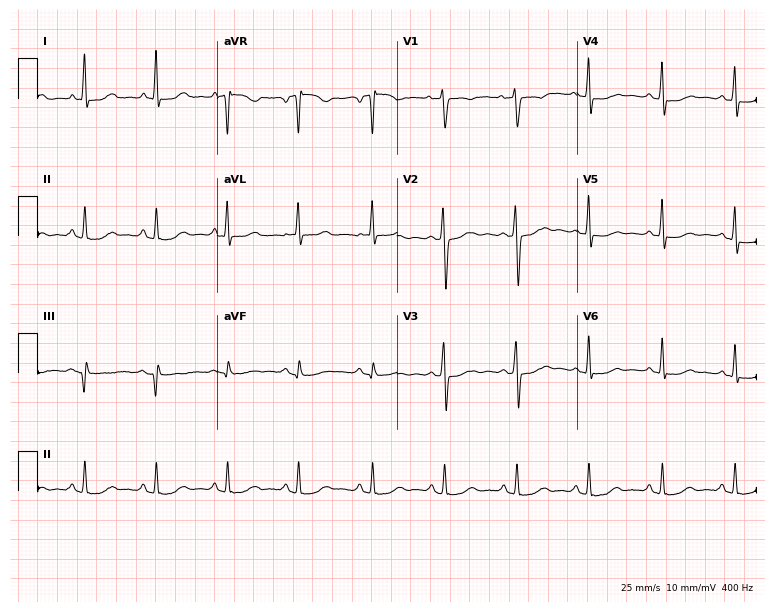
Electrocardiogram, a female patient, 58 years old. Of the six screened findings (first-degree AV block, right bundle branch block (RBBB), left bundle branch block (LBBB), sinus bradycardia, atrial fibrillation (AF), sinus tachycardia), none is recorded. Other findings, if any, are not listed.